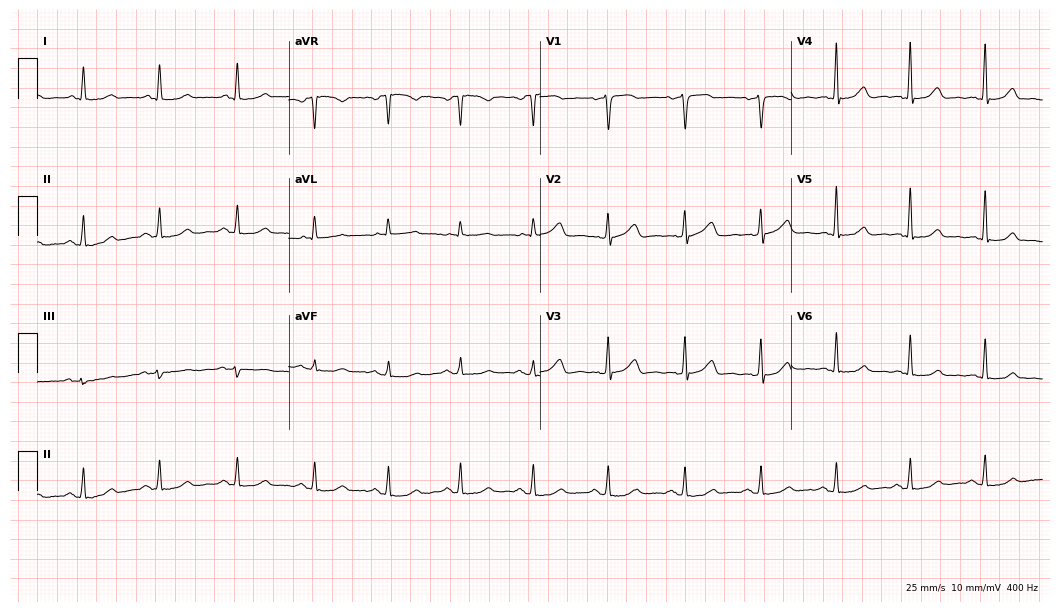
12-lead ECG from a female patient, 48 years old (10.2-second recording at 400 Hz). No first-degree AV block, right bundle branch block, left bundle branch block, sinus bradycardia, atrial fibrillation or sinus tachycardia recorded for this tracing. Only these six findings were labelled.